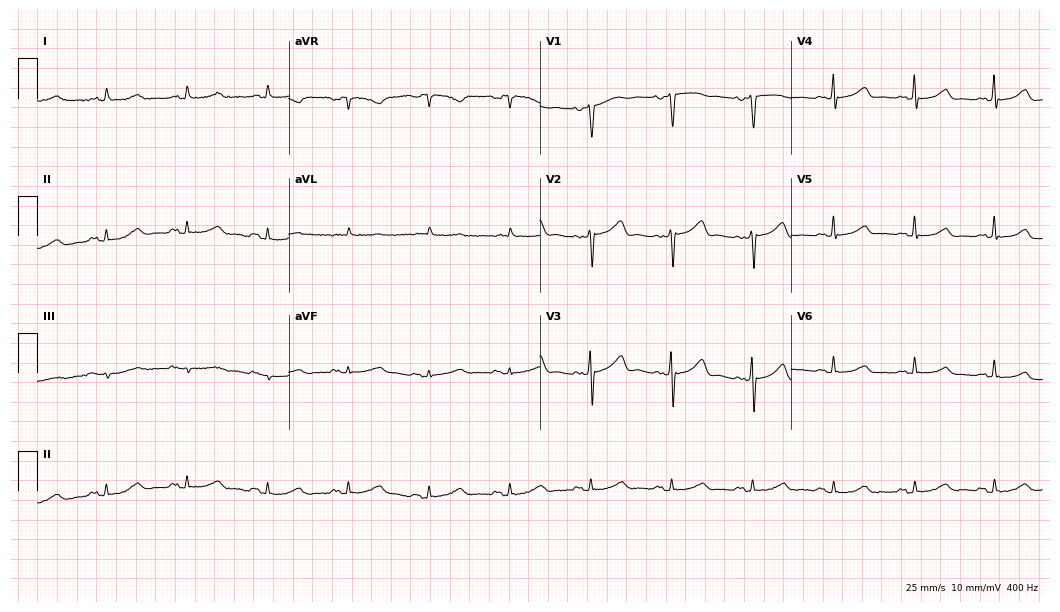
Standard 12-lead ECG recorded from a woman, 76 years old (10.2-second recording at 400 Hz). None of these six findings is recorded: first-degree AV block, right bundle branch block, left bundle branch block, sinus bradycardia, atrial fibrillation, sinus tachycardia.